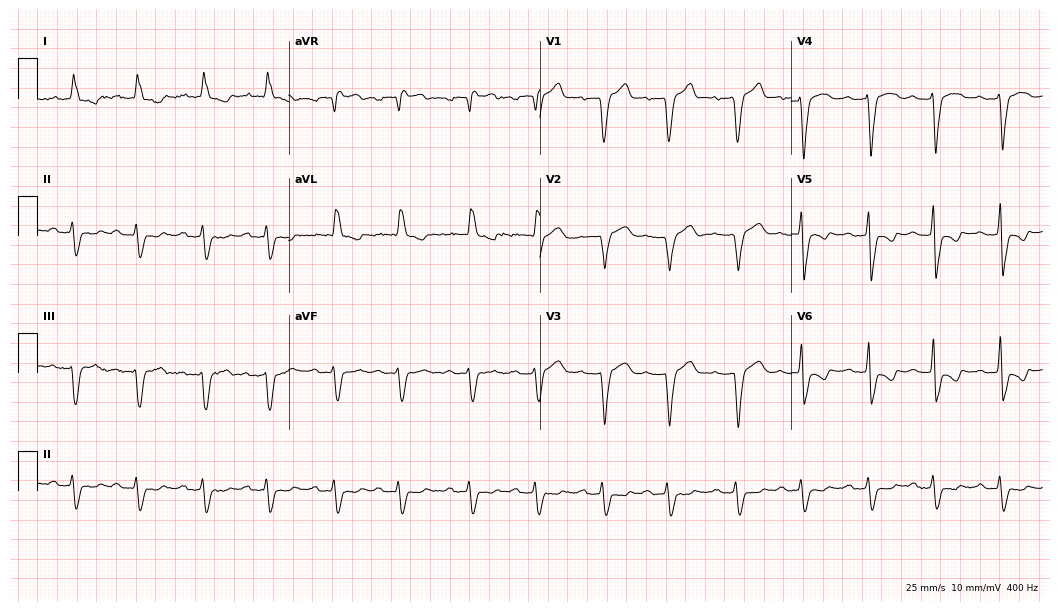
ECG — a woman, 80 years old. Findings include first-degree AV block, left bundle branch block.